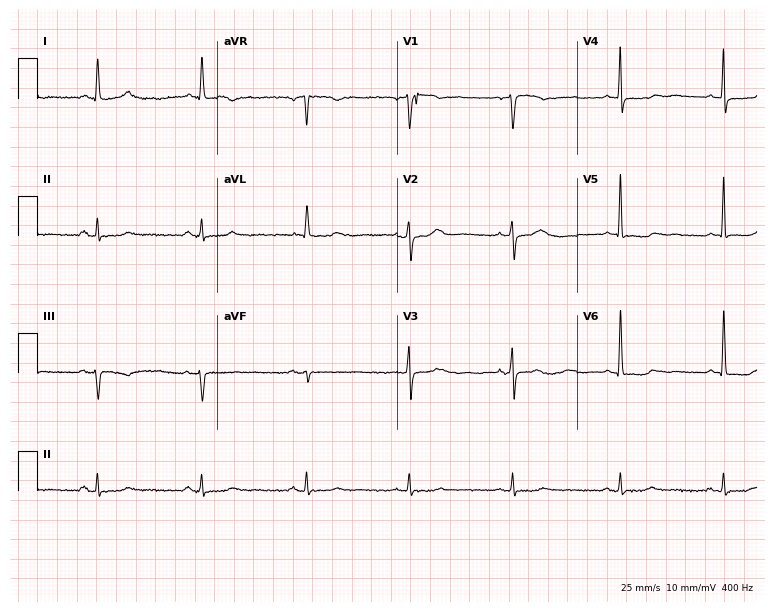
12-lead ECG (7.3-second recording at 400 Hz) from a 54-year-old woman. Screened for six findings — first-degree AV block, right bundle branch block (RBBB), left bundle branch block (LBBB), sinus bradycardia, atrial fibrillation (AF), sinus tachycardia — none is recorded. Other findings, if any, are not listed.